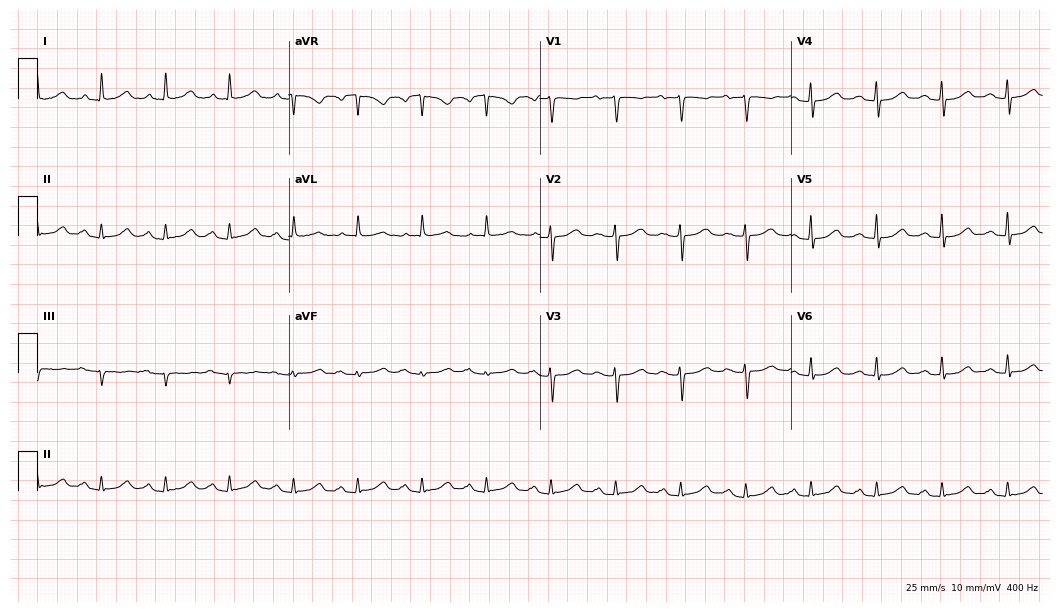
Standard 12-lead ECG recorded from a female, 84 years old. Read as a normal ECG.